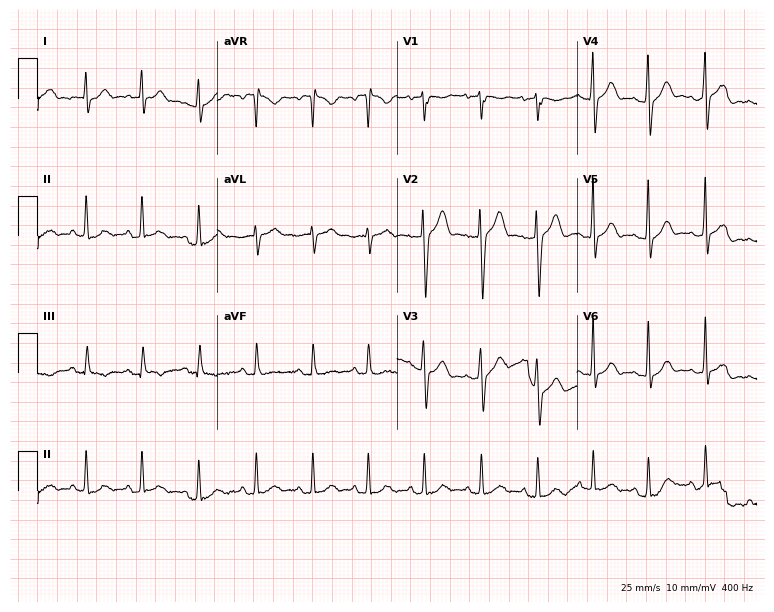
Electrocardiogram, a 21-year-old male patient. Overall reading on record: normal ECG.